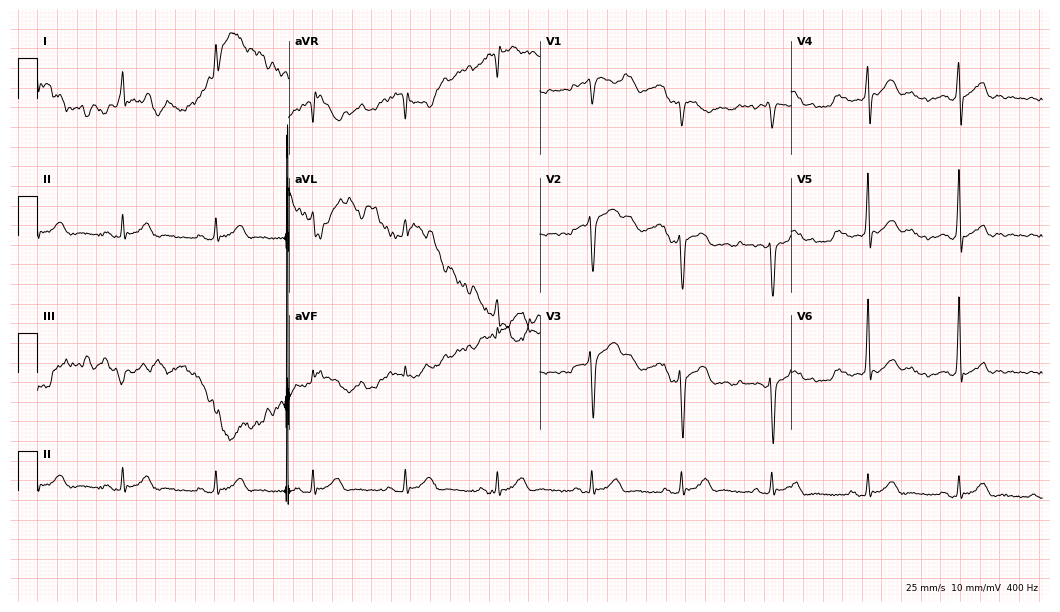
Standard 12-lead ECG recorded from a male, 34 years old. None of these six findings is recorded: first-degree AV block, right bundle branch block, left bundle branch block, sinus bradycardia, atrial fibrillation, sinus tachycardia. Other findings, if any, are not listed.